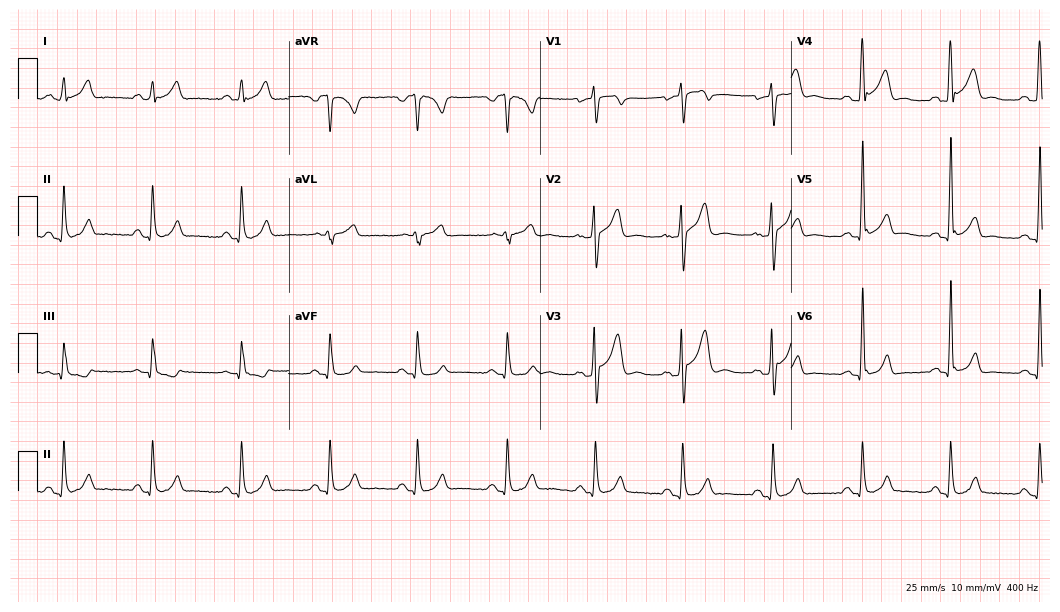
12-lead ECG from a man, 38 years old (10.2-second recording at 400 Hz). Recorded interpretation: within normal limits.